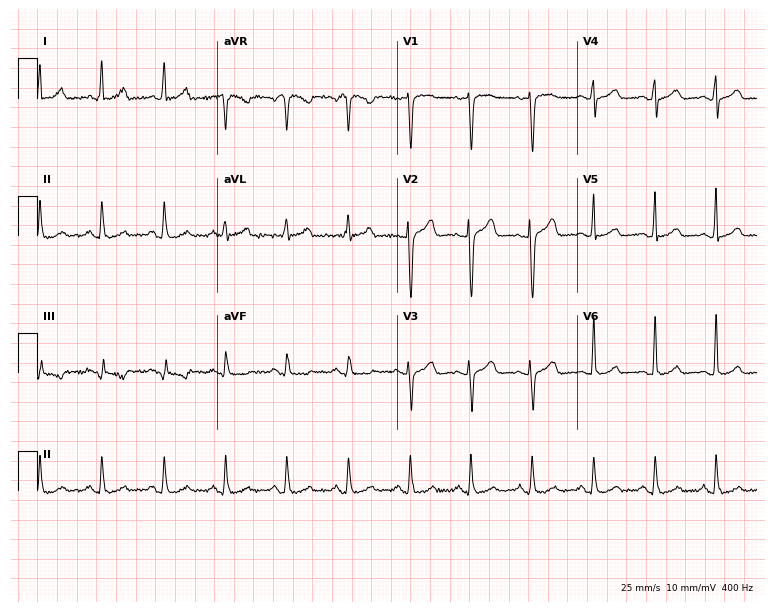
12-lead ECG from a 47-year-old woman. Labelled as a normal ECG.